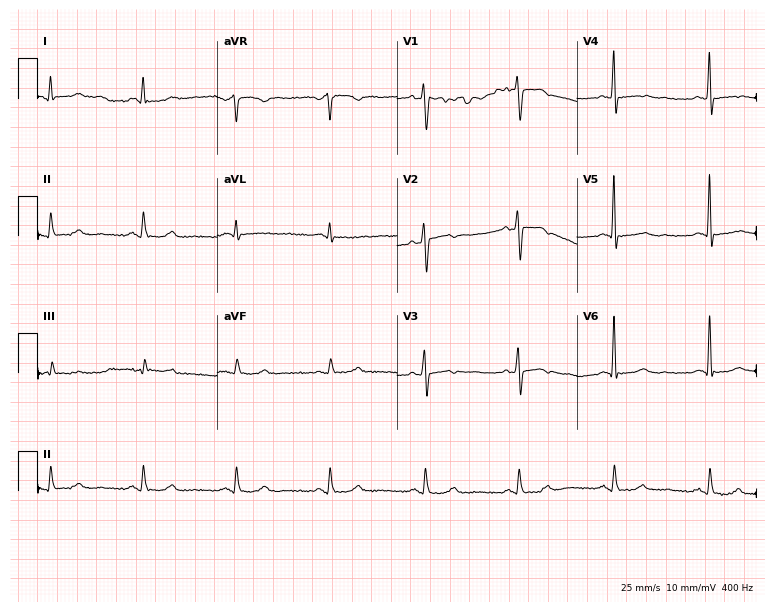
ECG (7.3-second recording at 400 Hz) — a female patient, 55 years old. Screened for six findings — first-degree AV block, right bundle branch block, left bundle branch block, sinus bradycardia, atrial fibrillation, sinus tachycardia — none is recorded. Other findings, if any, are not listed.